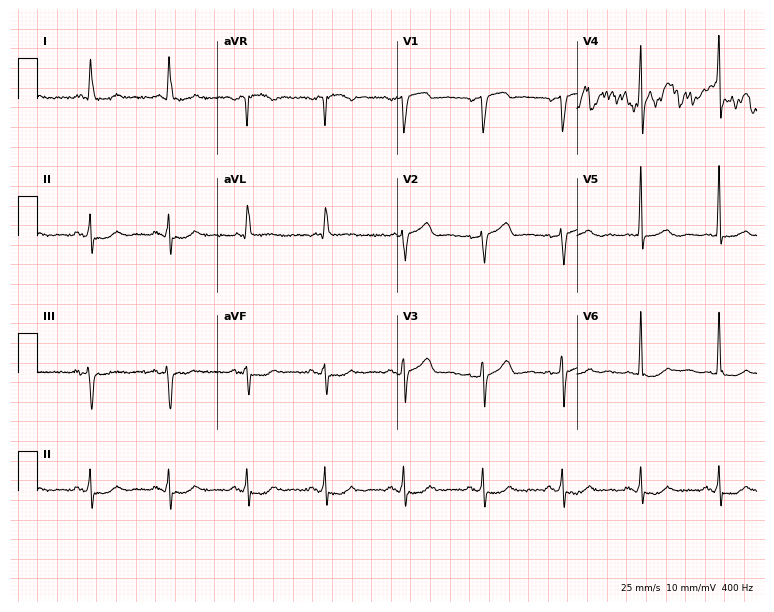
12-lead ECG from a 67-year-old male. Screened for six findings — first-degree AV block, right bundle branch block, left bundle branch block, sinus bradycardia, atrial fibrillation, sinus tachycardia — none is recorded.